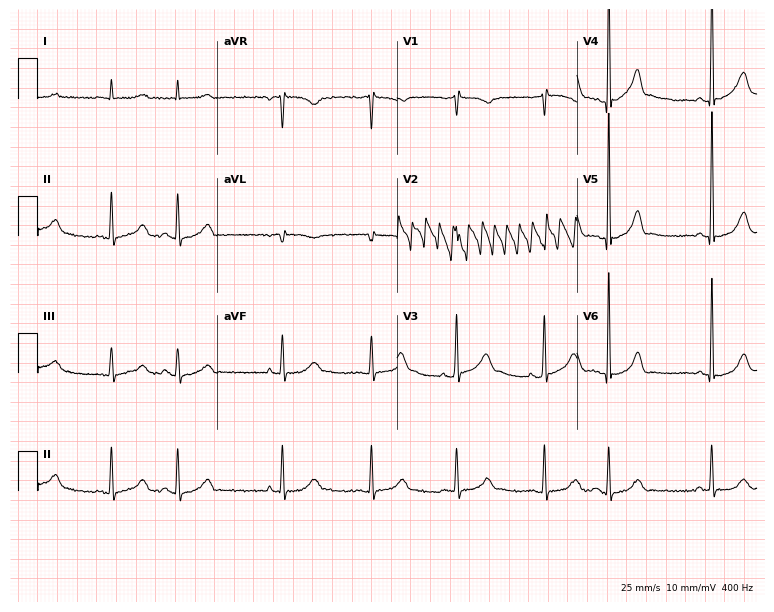
Standard 12-lead ECG recorded from an 80-year-old man. None of these six findings is recorded: first-degree AV block, right bundle branch block (RBBB), left bundle branch block (LBBB), sinus bradycardia, atrial fibrillation (AF), sinus tachycardia. Findings outside these six are not listed.